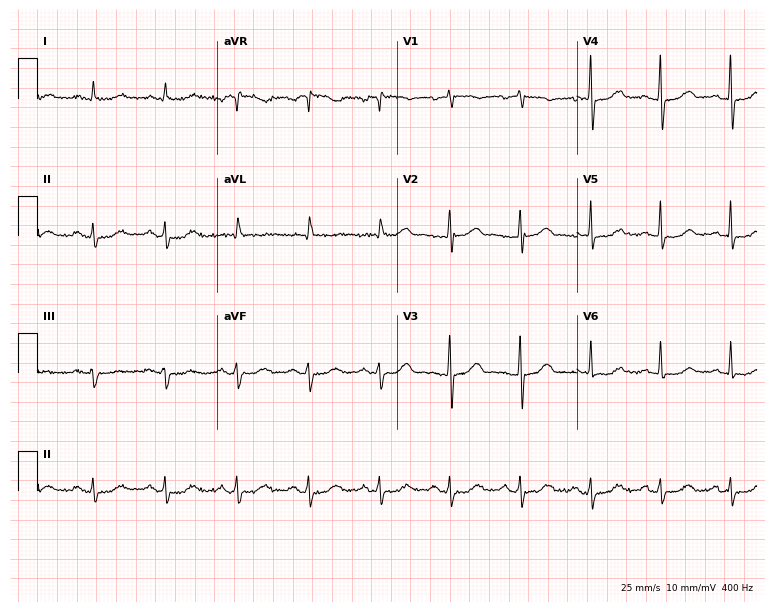
Standard 12-lead ECG recorded from a 64-year-old female patient. Read as a normal ECG.